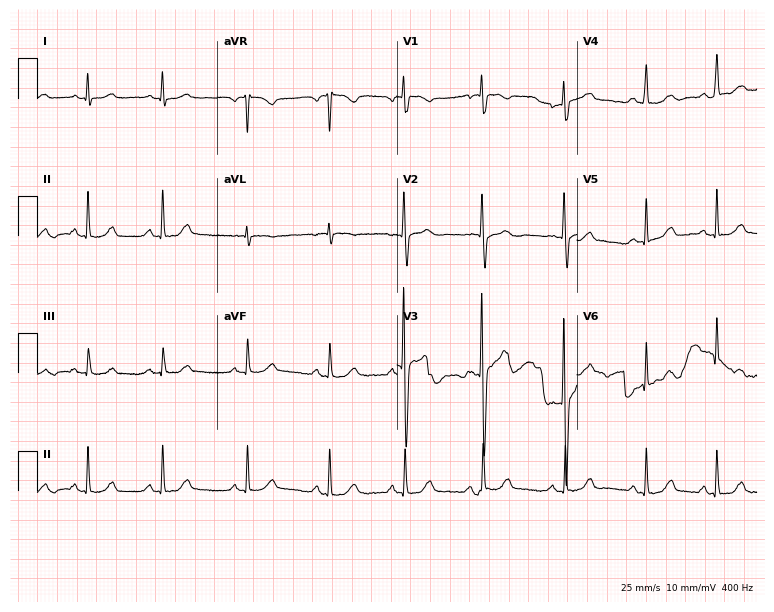
Resting 12-lead electrocardiogram. Patient: a 17-year-old woman. None of these six findings is recorded: first-degree AV block, right bundle branch block, left bundle branch block, sinus bradycardia, atrial fibrillation, sinus tachycardia.